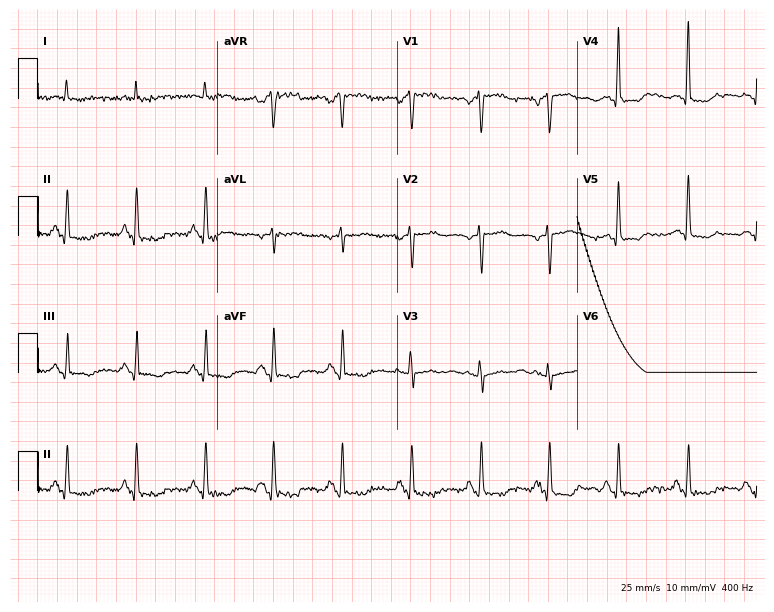
12-lead ECG (7.3-second recording at 400 Hz) from a woman, 75 years old. Screened for six findings — first-degree AV block, right bundle branch block, left bundle branch block, sinus bradycardia, atrial fibrillation, sinus tachycardia — none is recorded.